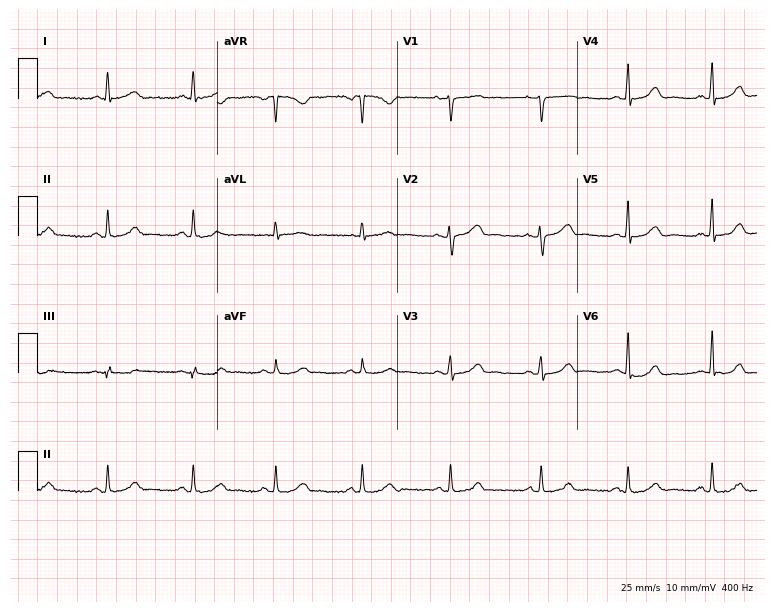
12-lead ECG from a female, 37 years old. Labelled as a normal ECG.